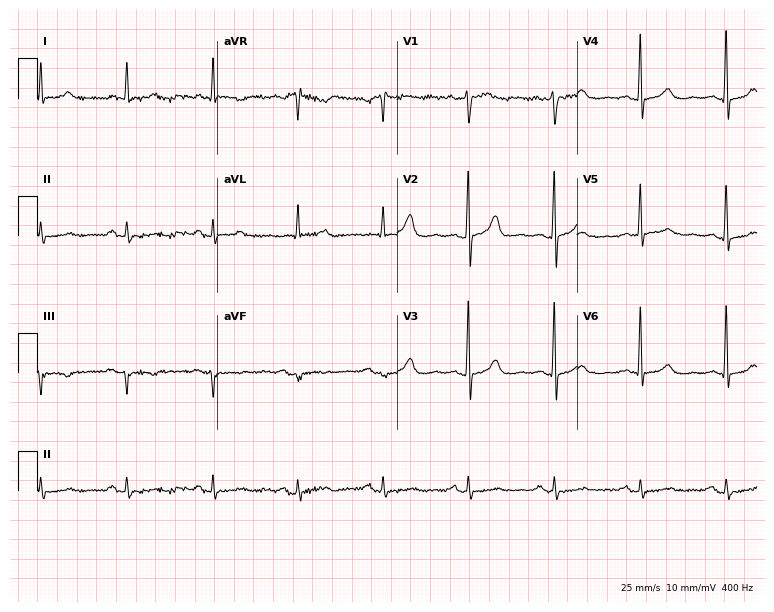
Electrocardiogram (7.3-second recording at 400 Hz), a 69-year-old male. Of the six screened findings (first-degree AV block, right bundle branch block, left bundle branch block, sinus bradycardia, atrial fibrillation, sinus tachycardia), none is recorded. Other findings, if any, are not listed.